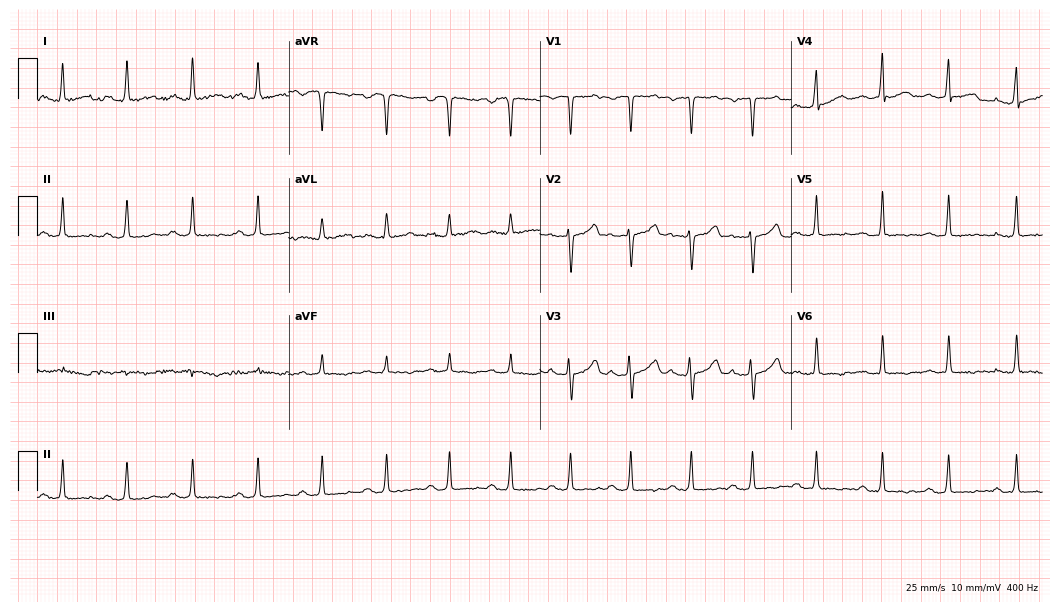
12-lead ECG from a female, 39 years old (10.2-second recording at 400 Hz). No first-degree AV block, right bundle branch block (RBBB), left bundle branch block (LBBB), sinus bradycardia, atrial fibrillation (AF) or sinus tachycardia recorded for this tracing. Findings outside these six are not listed.